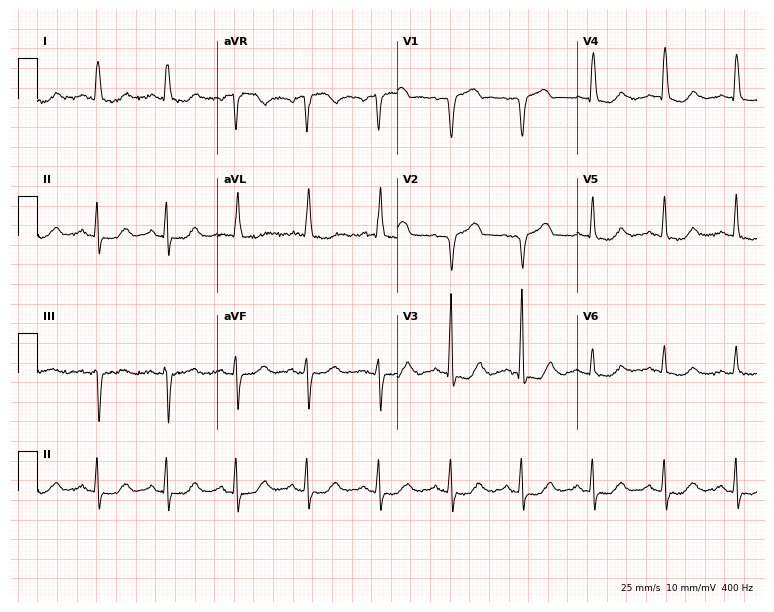
ECG (7.3-second recording at 400 Hz) — a female patient, 82 years old. Labelled as a normal ECG.